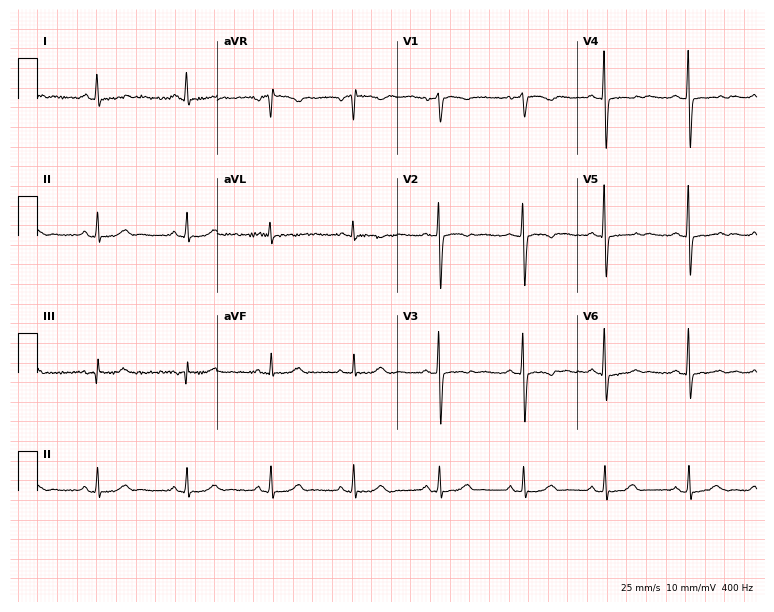
12-lead ECG from a female, 53 years old (7.3-second recording at 400 Hz). No first-degree AV block, right bundle branch block, left bundle branch block, sinus bradycardia, atrial fibrillation or sinus tachycardia recorded for this tracing.